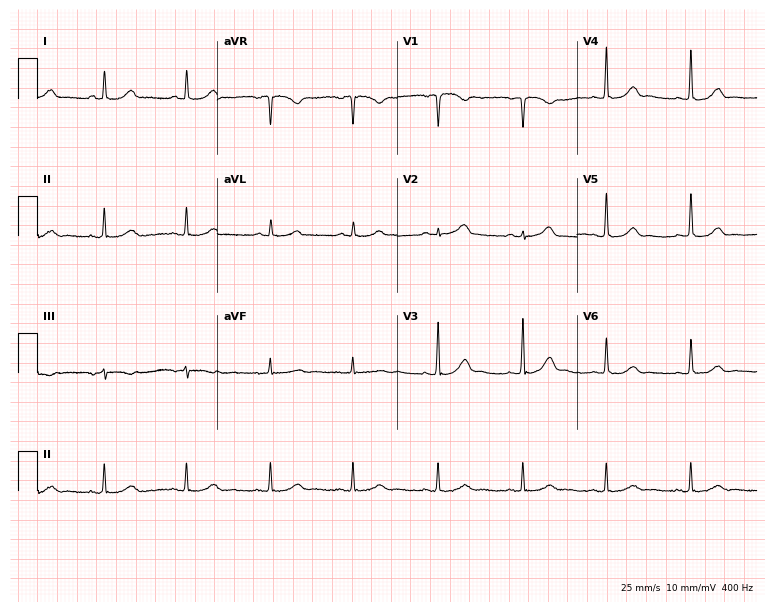
Standard 12-lead ECG recorded from a female, 47 years old. Read as a normal ECG.